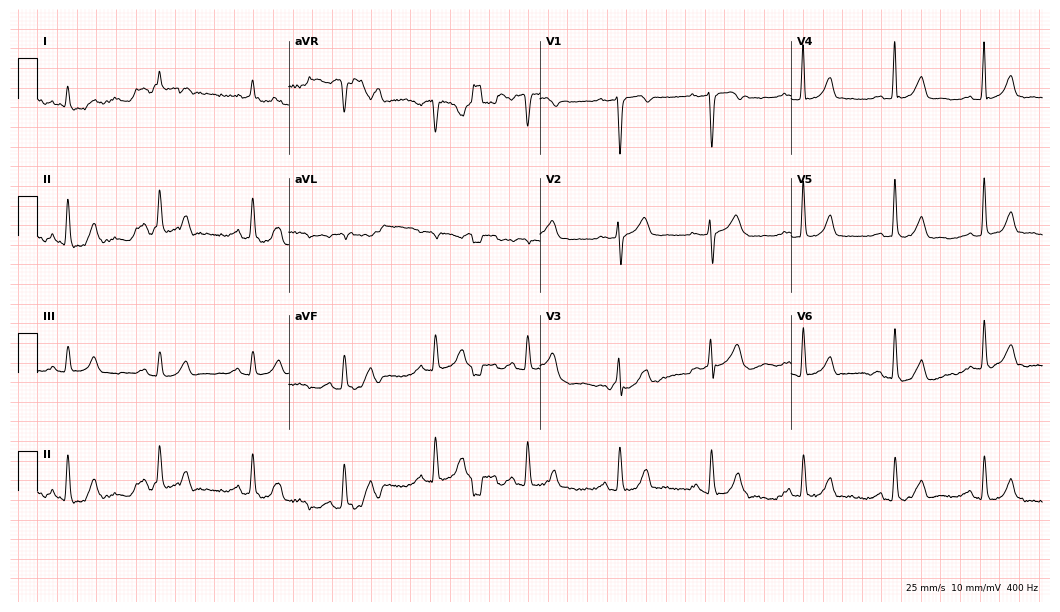
Standard 12-lead ECG recorded from a man, 80 years old. Read as a normal ECG.